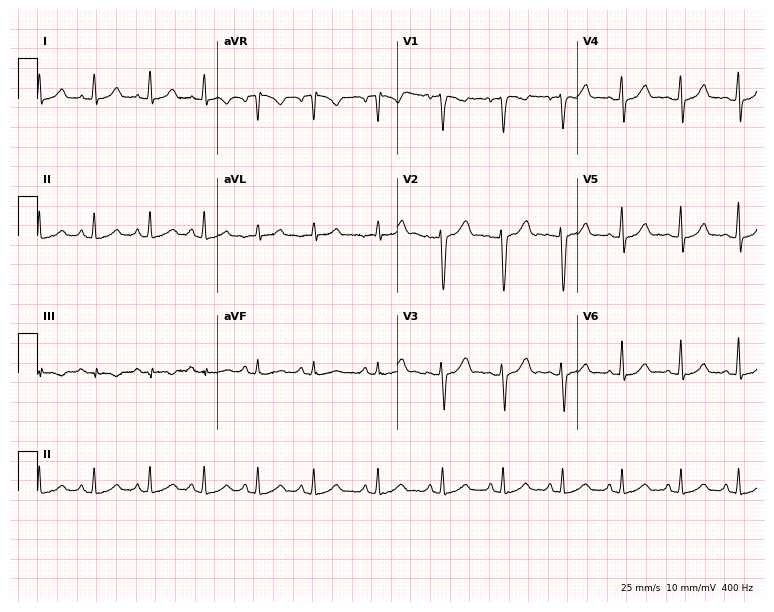
Resting 12-lead electrocardiogram. Patient: a woman, 30 years old. Read as a normal ECG.